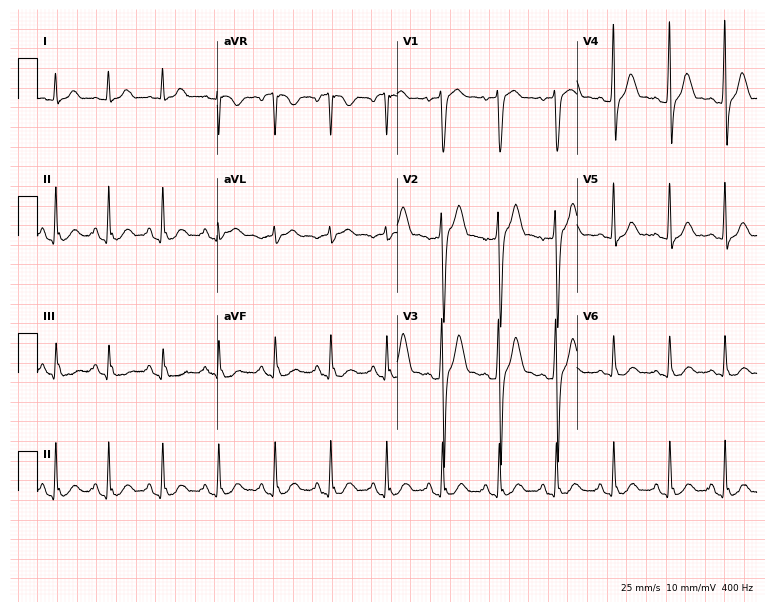
Standard 12-lead ECG recorded from a male, 40 years old (7.3-second recording at 400 Hz). The tracing shows sinus tachycardia (a sinus rate of 100 beats per minute or more).